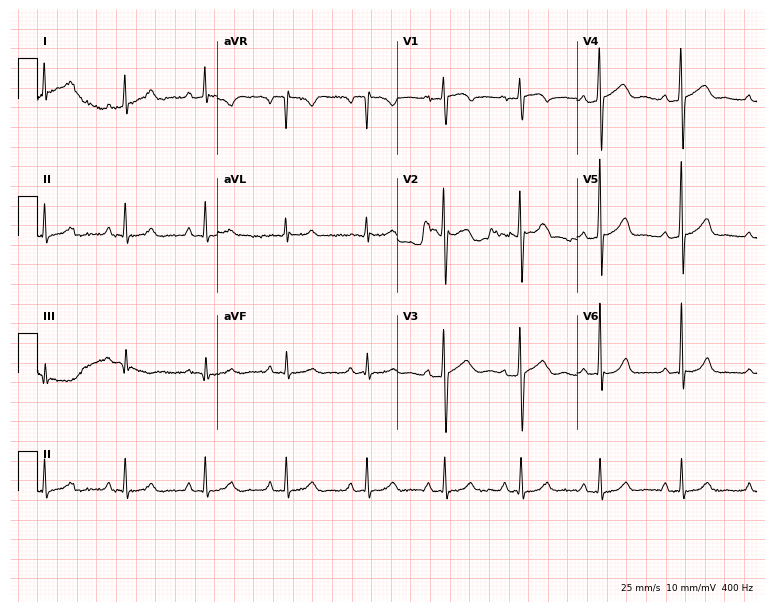
Resting 12-lead electrocardiogram. Patient: a 58-year-old male. None of these six findings is recorded: first-degree AV block, right bundle branch block, left bundle branch block, sinus bradycardia, atrial fibrillation, sinus tachycardia.